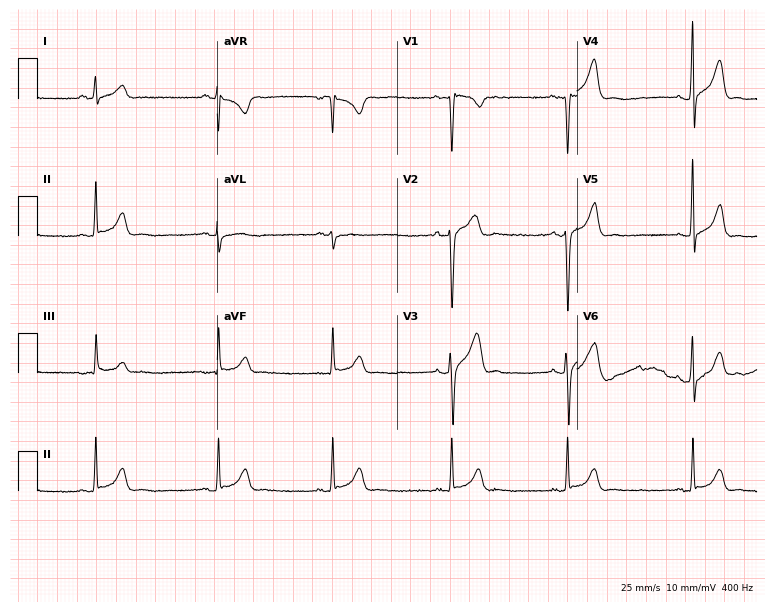
Standard 12-lead ECG recorded from a 21-year-old male (7.3-second recording at 400 Hz). Read as a normal ECG.